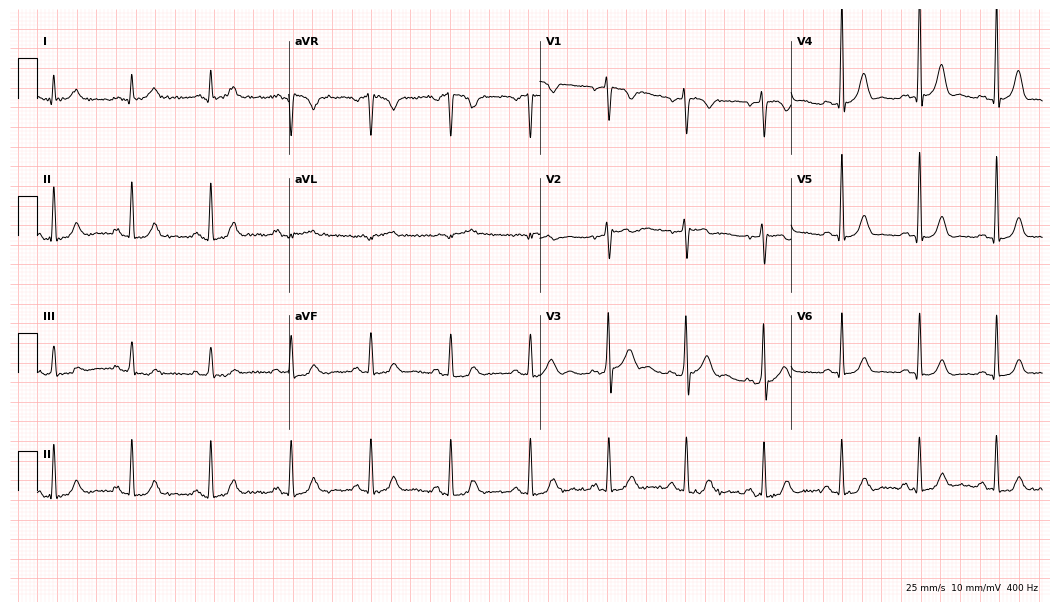
12-lead ECG from a 60-year-old male patient (10.2-second recording at 400 Hz). Recorded interpretation: within normal limits.